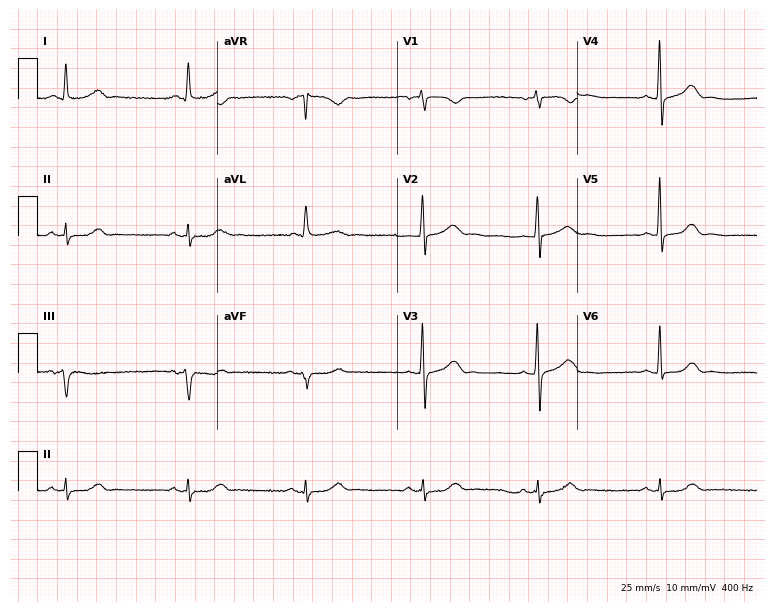
ECG — a male patient, 84 years old. Findings include sinus bradycardia (a sinus rate of 50 beats per minute or less).